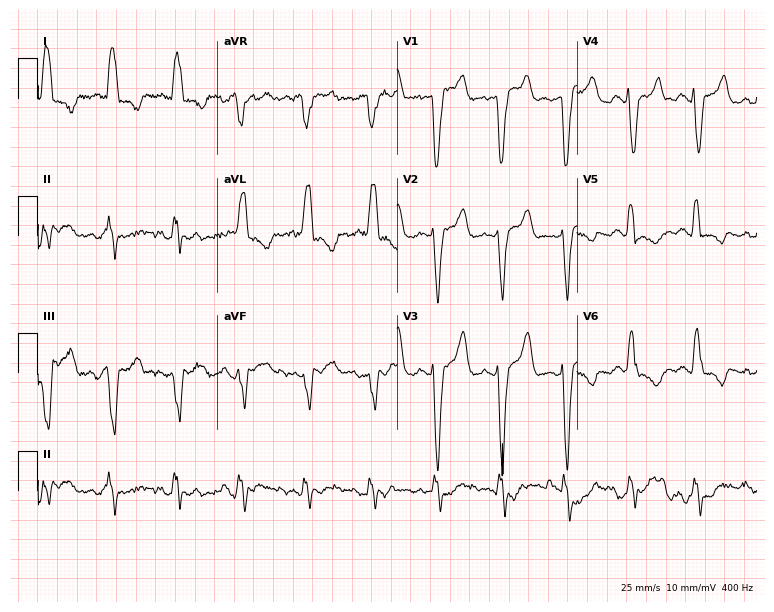
12-lead ECG from a woman, 83 years old (7.3-second recording at 400 Hz). No first-degree AV block, right bundle branch block (RBBB), left bundle branch block (LBBB), sinus bradycardia, atrial fibrillation (AF) or sinus tachycardia recorded for this tracing.